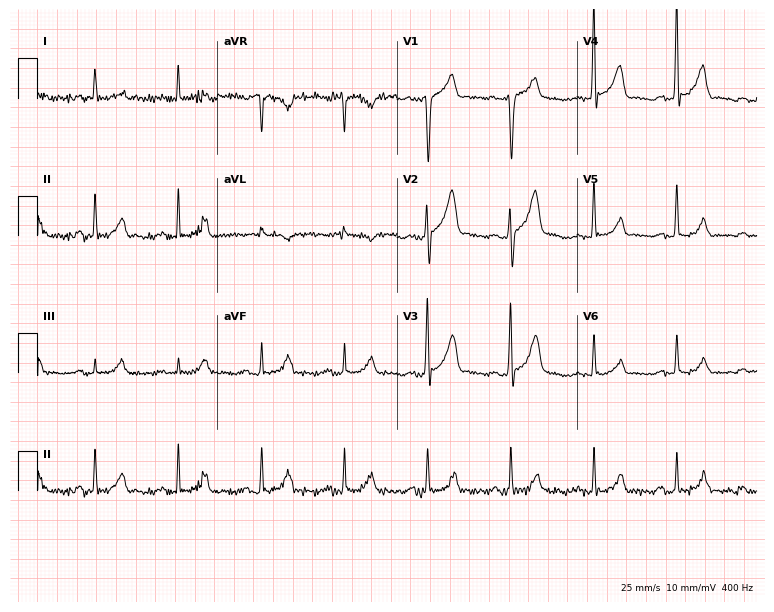
Standard 12-lead ECG recorded from a 57-year-old man (7.3-second recording at 400 Hz). None of these six findings is recorded: first-degree AV block, right bundle branch block (RBBB), left bundle branch block (LBBB), sinus bradycardia, atrial fibrillation (AF), sinus tachycardia. Other findings, if any, are not listed.